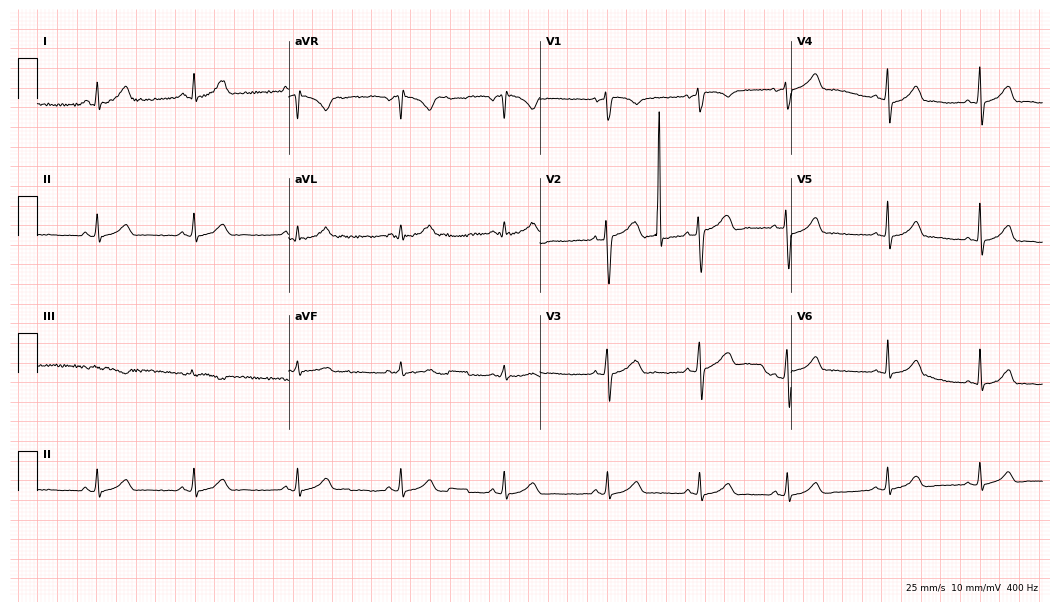
Standard 12-lead ECG recorded from a female, 20 years old. Read as a normal ECG.